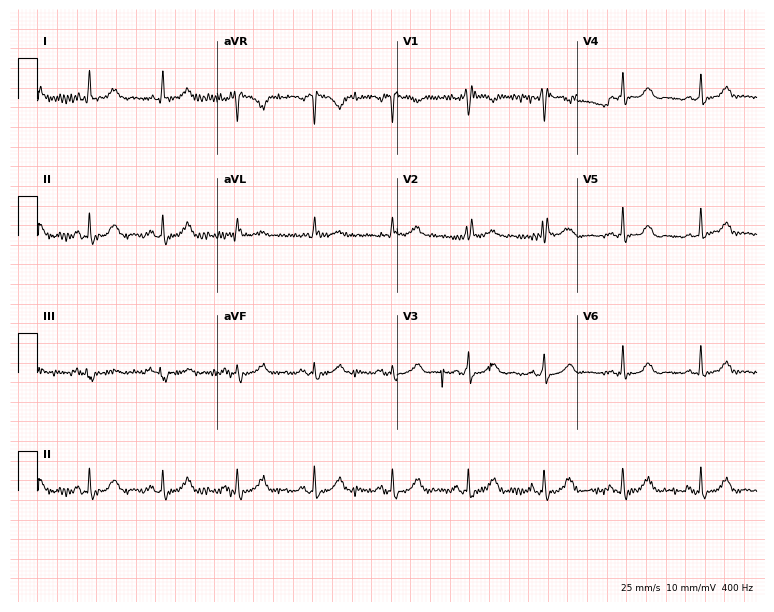
12-lead ECG from a female, 39 years old (7.3-second recording at 400 Hz). No first-degree AV block, right bundle branch block, left bundle branch block, sinus bradycardia, atrial fibrillation or sinus tachycardia recorded for this tracing. Other findings, if any, are not listed.